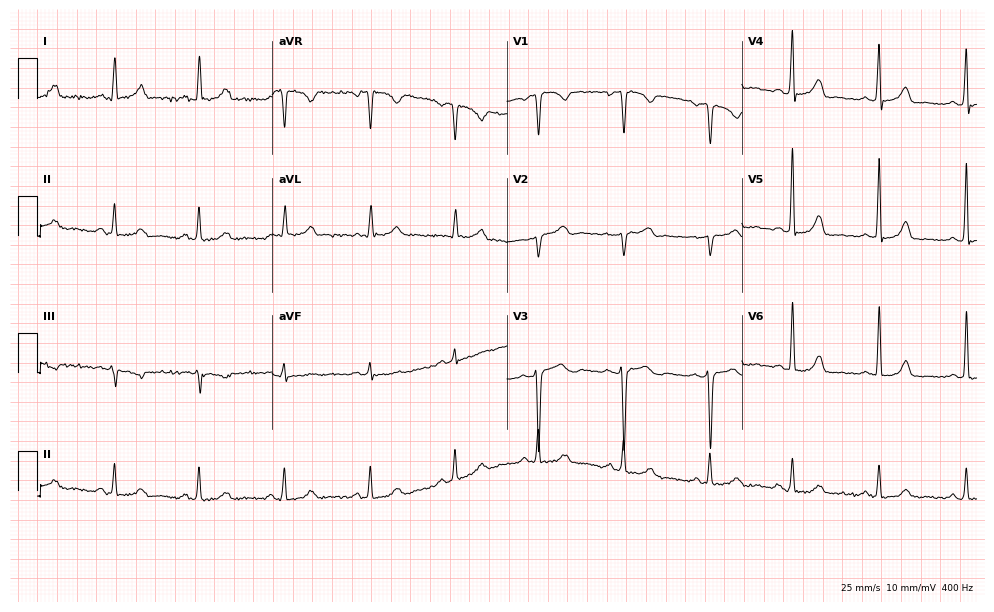
Standard 12-lead ECG recorded from a female patient, 39 years old. Read as a normal ECG.